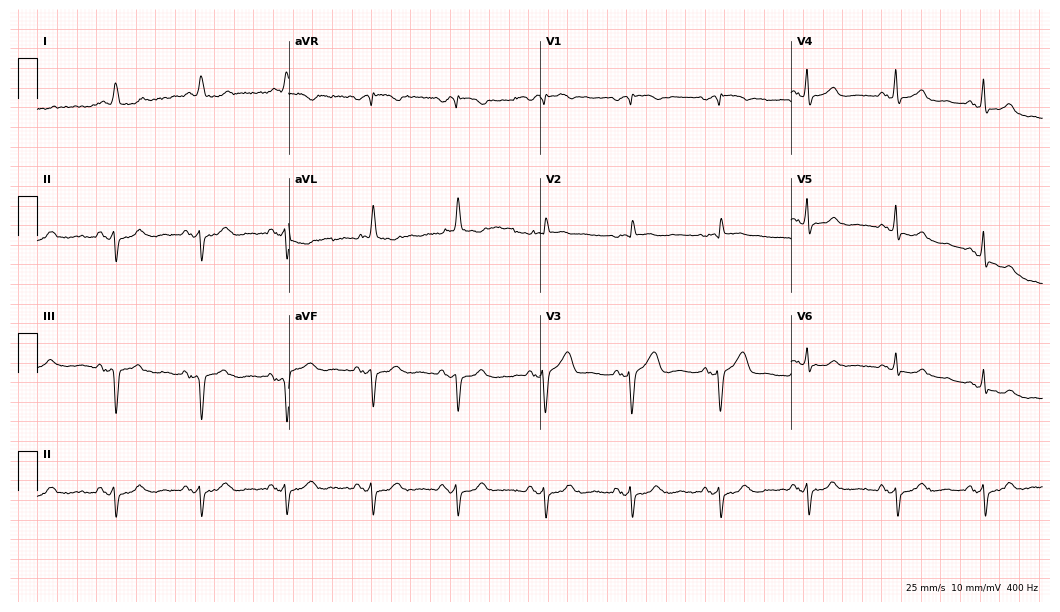
12-lead ECG from a 76-year-old male patient (10.2-second recording at 400 Hz). No first-degree AV block, right bundle branch block (RBBB), left bundle branch block (LBBB), sinus bradycardia, atrial fibrillation (AF) or sinus tachycardia recorded for this tracing. Only these six findings were labelled.